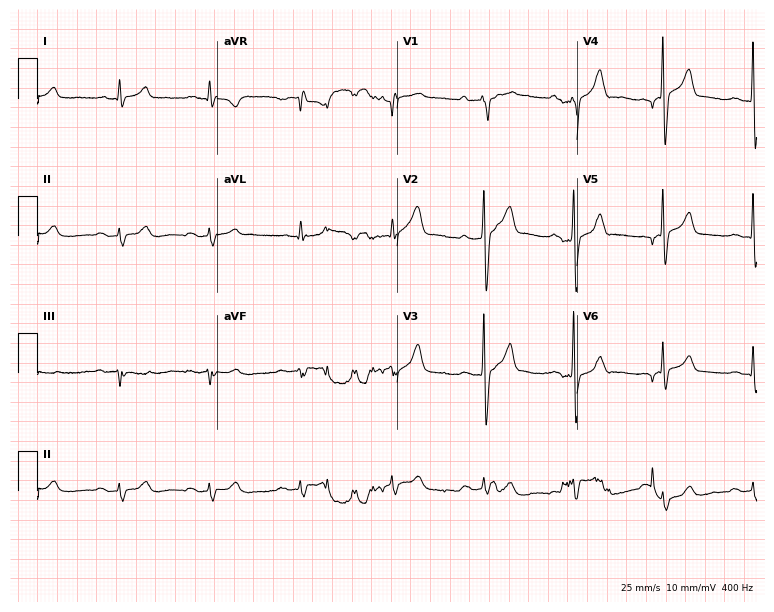
Resting 12-lead electrocardiogram. Patient: a 64-year-old man. Read as a normal ECG.